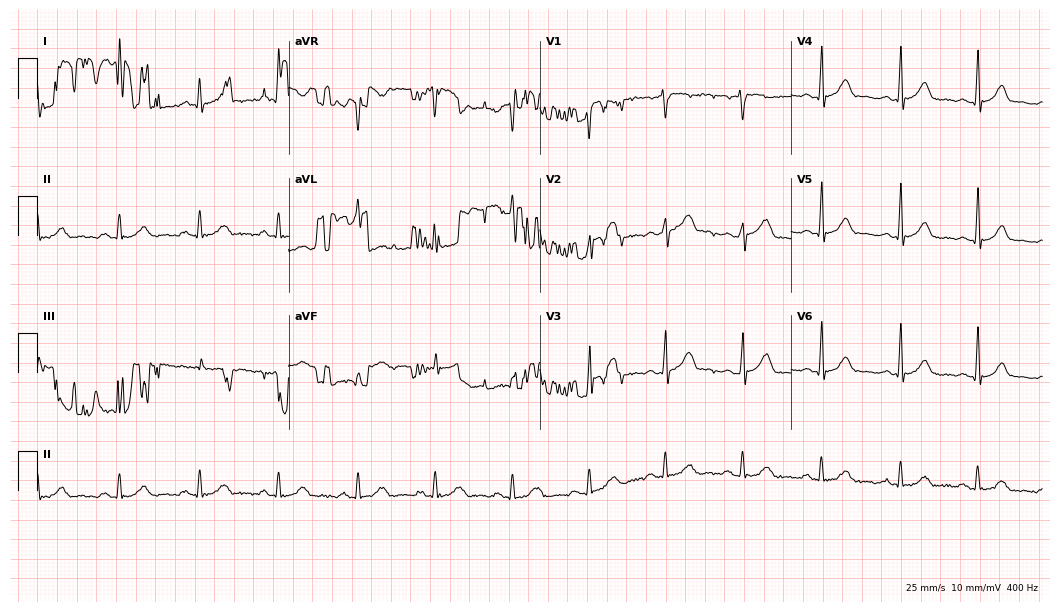
Electrocardiogram, a male, 45 years old. Of the six screened findings (first-degree AV block, right bundle branch block, left bundle branch block, sinus bradycardia, atrial fibrillation, sinus tachycardia), none is recorded.